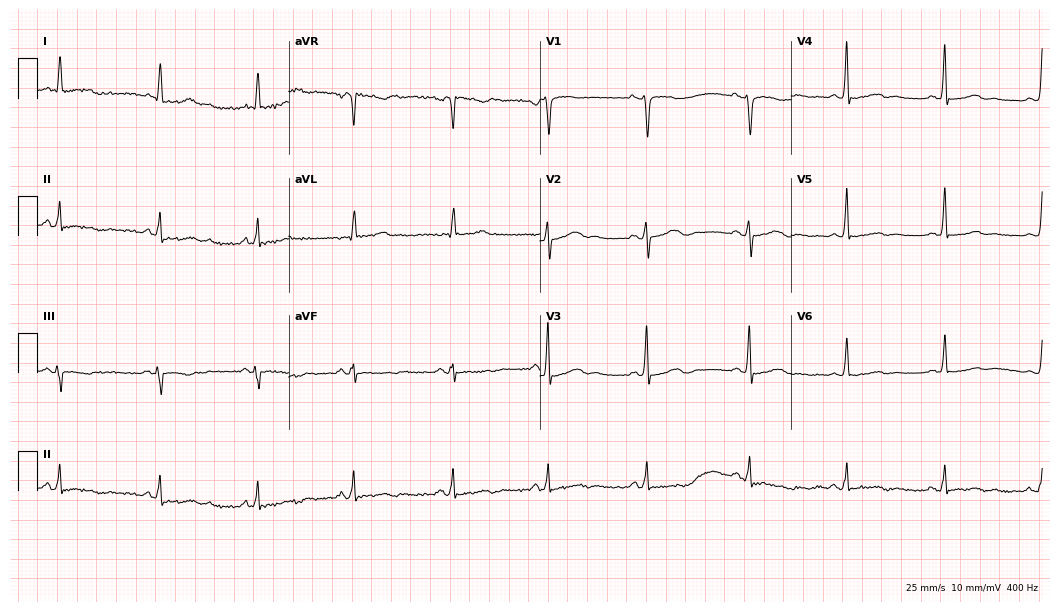
12-lead ECG from a female patient, 65 years old. Screened for six findings — first-degree AV block, right bundle branch block, left bundle branch block, sinus bradycardia, atrial fibrillation, sinus tachycardia — none is recorded. Other findings, if any, are not listed.